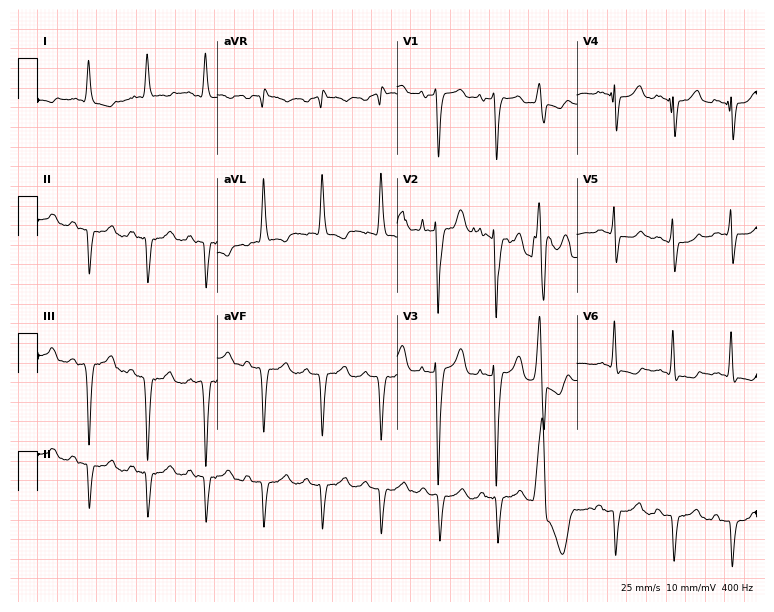
Electrocardiogram (7.3-second recording at 400 Hz), a woman, 77 years old. Interpretation includes sinus tachycardia (a sinus rate of 100 beats per minute or more).